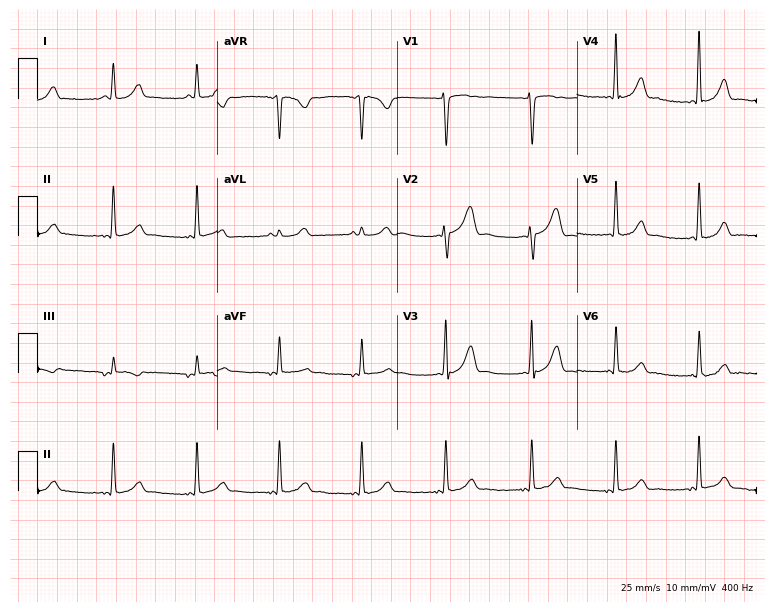
Electrocardiogram, a 34-year-old female. Of the six screened findings (first-degree AV block, right bundle branch block (RBBB), left bundle branch block (LBBB), sinus bradycardia, atrial fibrillation (AF), sinus tachycardia), none is recorded. Findings outside these six are not listed.